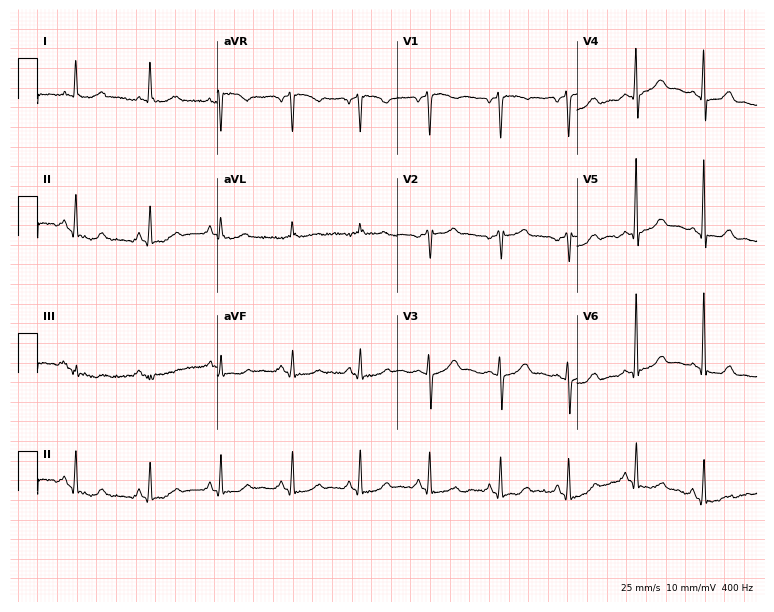
ECG — a woman, 62 years old. Screened for six findings — first-degree AV block, right bundle branch block (RBBB), left bundle branch block (LBBB), sinus bradycardia, atrial fibrillation (AF), sinus tachycardia — none is recorded.